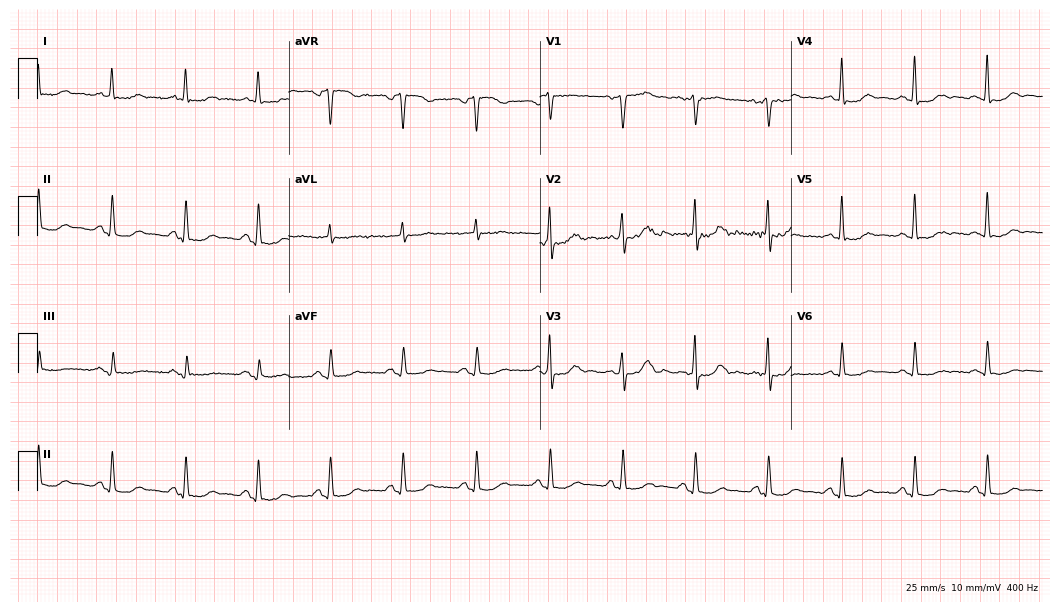
12-lead ECG from a 53-year-old female patient. Labelled as a normal ECG.